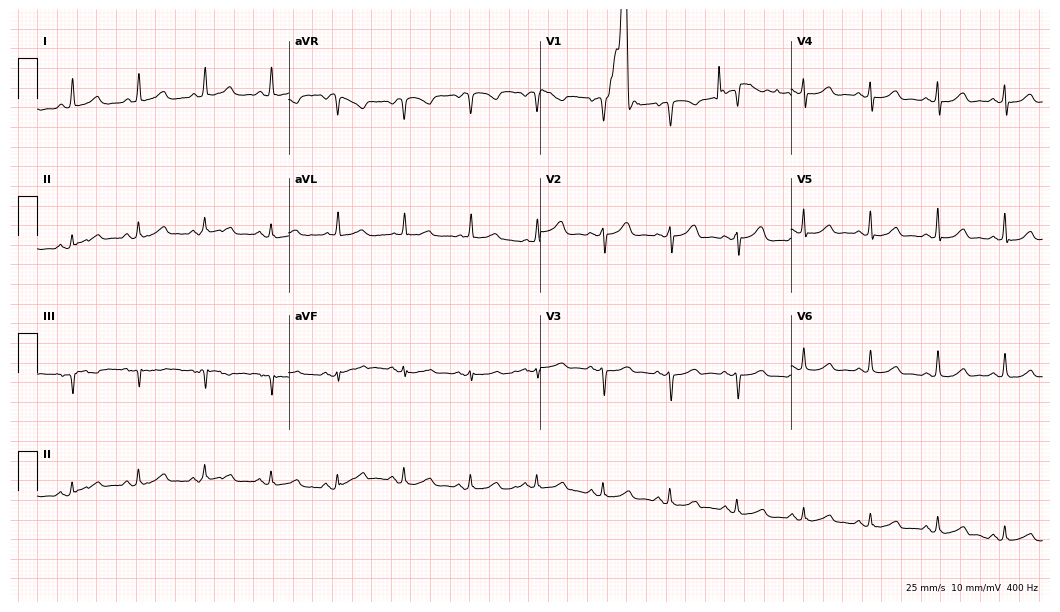
12-lead ECG from an 84-year-old woman. Recorded interpretation: within normal limits.